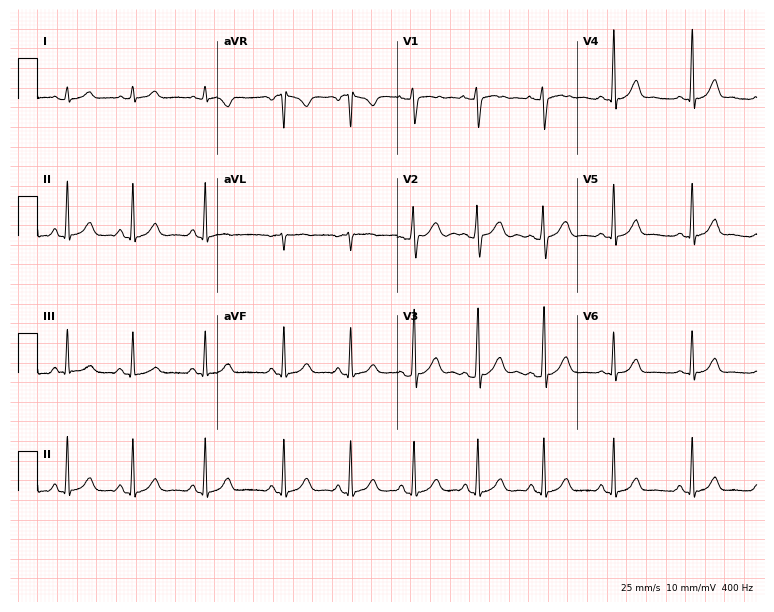
12-lead ECG from a male patient, 23 years old. No first-degree AV block, right bundle branch block, left bundle branch block, sinus bradycardia, atrial fibrillation or sinus tachycardia recorded for this tracing.